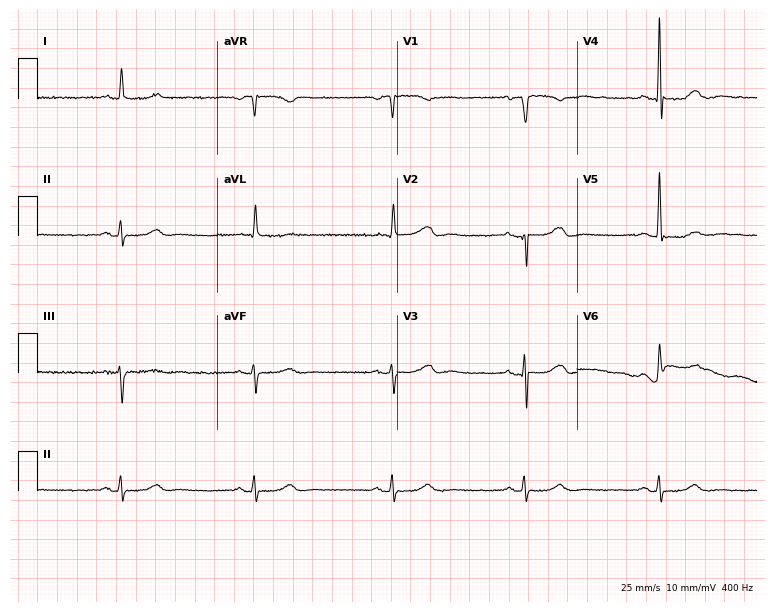
Electrocardiogram, a 79-year-old female. Interpretation includes sinus bradycardia (a sinus rate of 50 beats per minute or less).